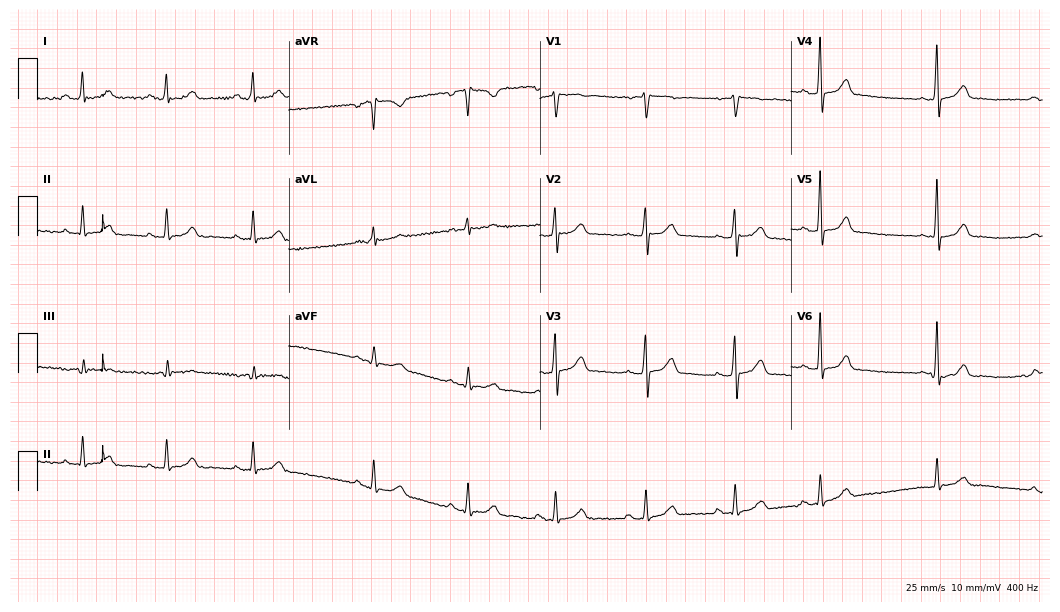
Standard 12-lead ECG recorded from a 34-year-old male (10.2-second recording at 400 Hz). None of these six findings is recorded: first-degree AV block, right bundle branch block, left bundle branch block, sinus bradycardia, atrial fibrillation, sinus tachycardia.